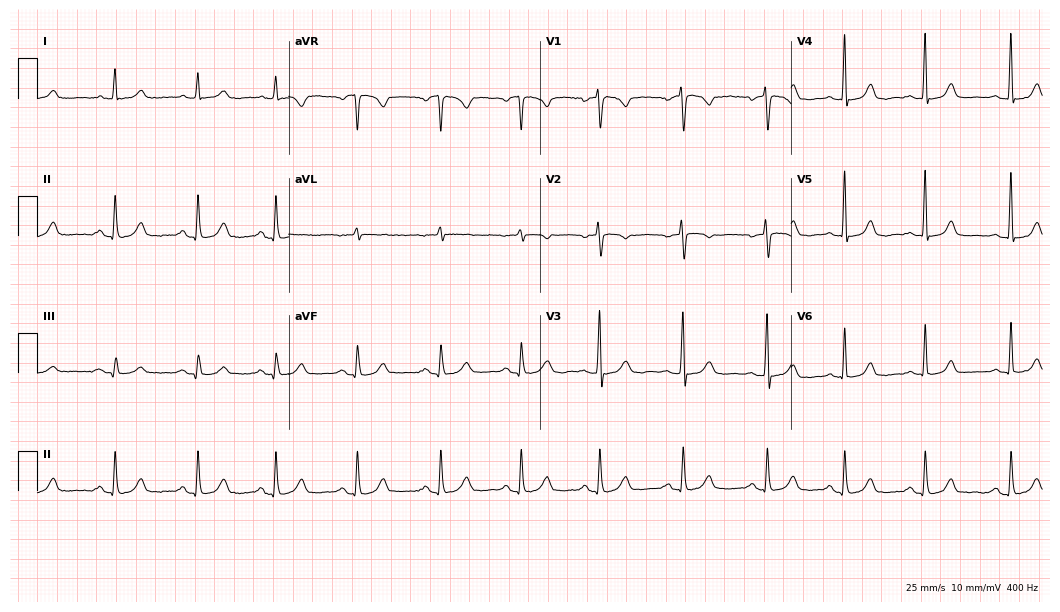
12-lead ECG from a woman, 39 years old. Recorded interpretation: within normal limits.